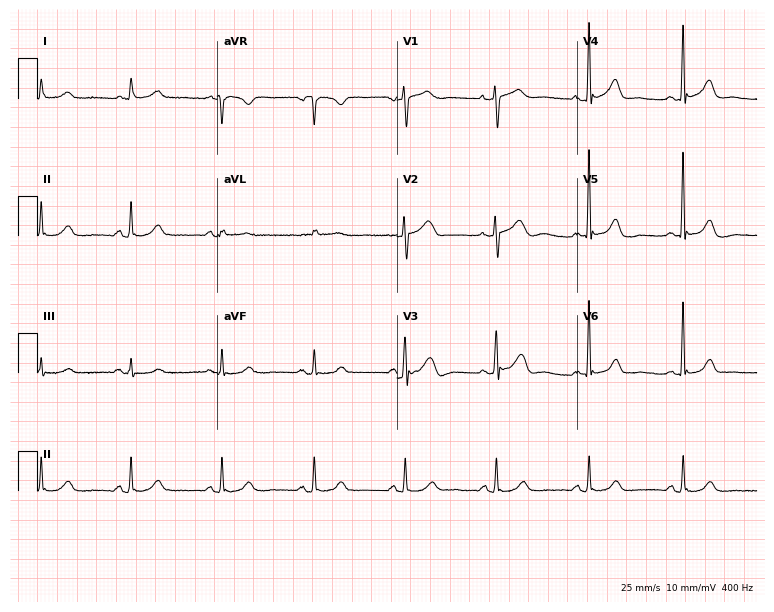
12-lead ECG (7.3-second recording at 400 Hz) from a 63-year-old female patient. Screened for six findings — first-degree AV block, right bundle branch block, left bundle branch block, sinus bradycardia, atrial fibrillation, sinus tachycardia — none is recorded. Other findings, if any, are not listed.